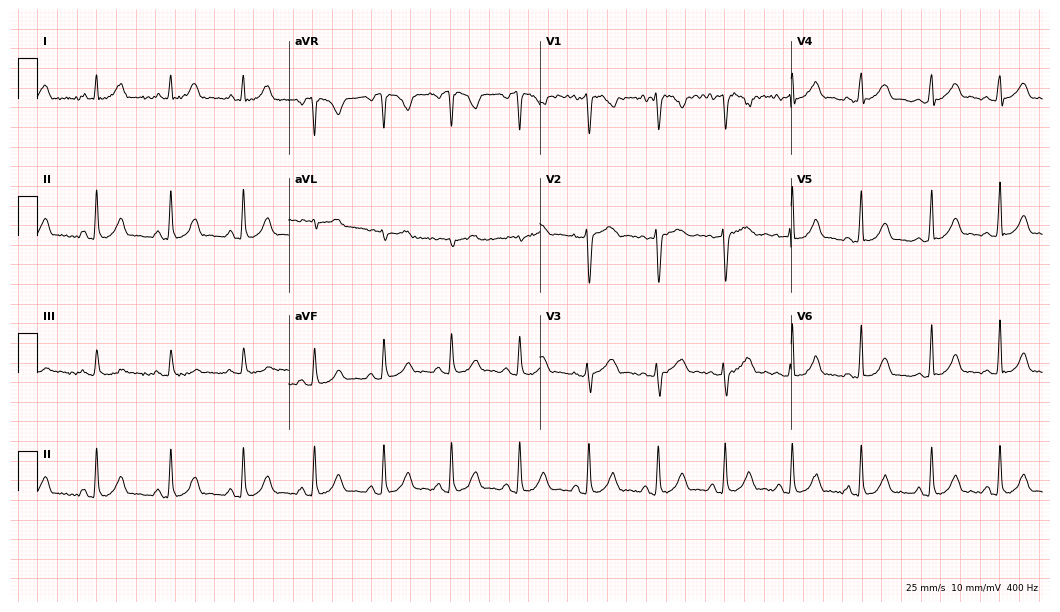
12-lead ECG (10.2-second recording at 400 Hz) from a female, 31 years old. Labelled as a normal ECG.